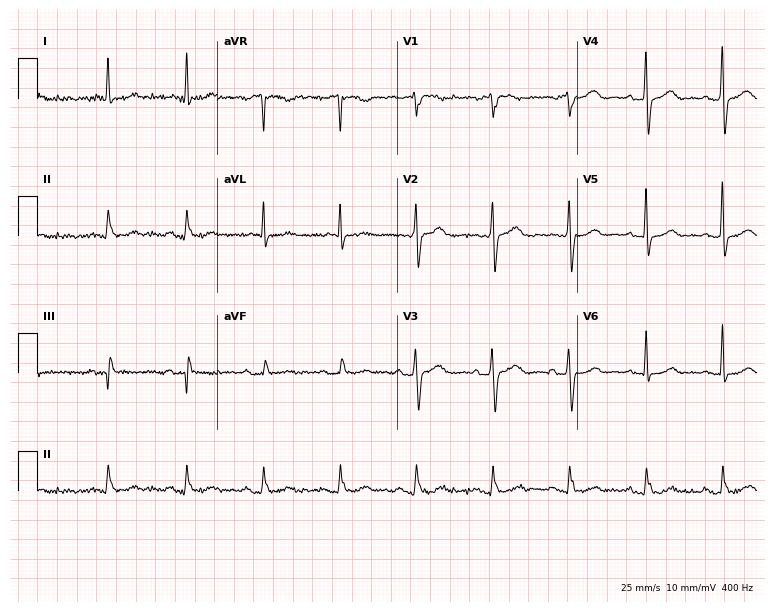
12-lead ECG from a 77-year-old female. Recorded interpretation: within normal limits.